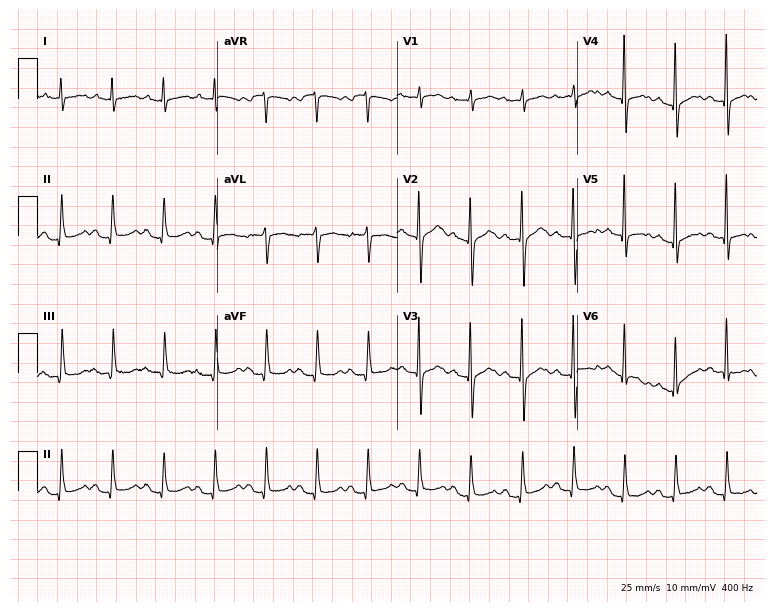
Resting 12-lead electrocardiogram. Patient: a woman, 65 years old. The tracing shows sinus tachycardia (a sinus rate of 100 beats per minute or more).